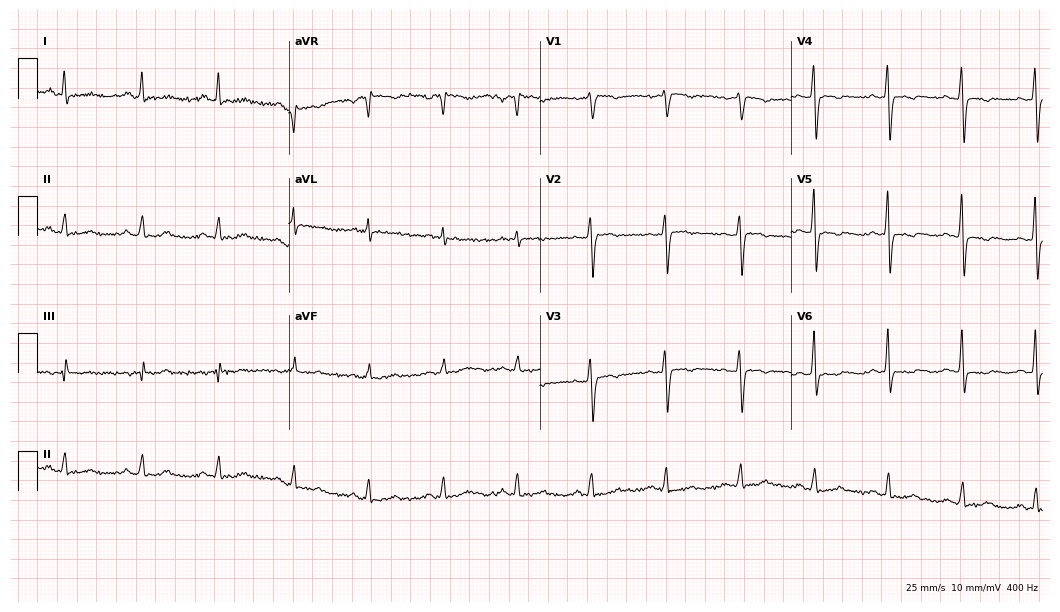
Electrocardiogram, a female, 57 years old. Of the six screened findings (first-degree AV block, right bundle branch block (RBBB), left bundle branch block (LBBB), sinus bradycardia, atrial fibrillation (AF), sinus tachycardia), none is recorded. Findings outside these six are not listed.